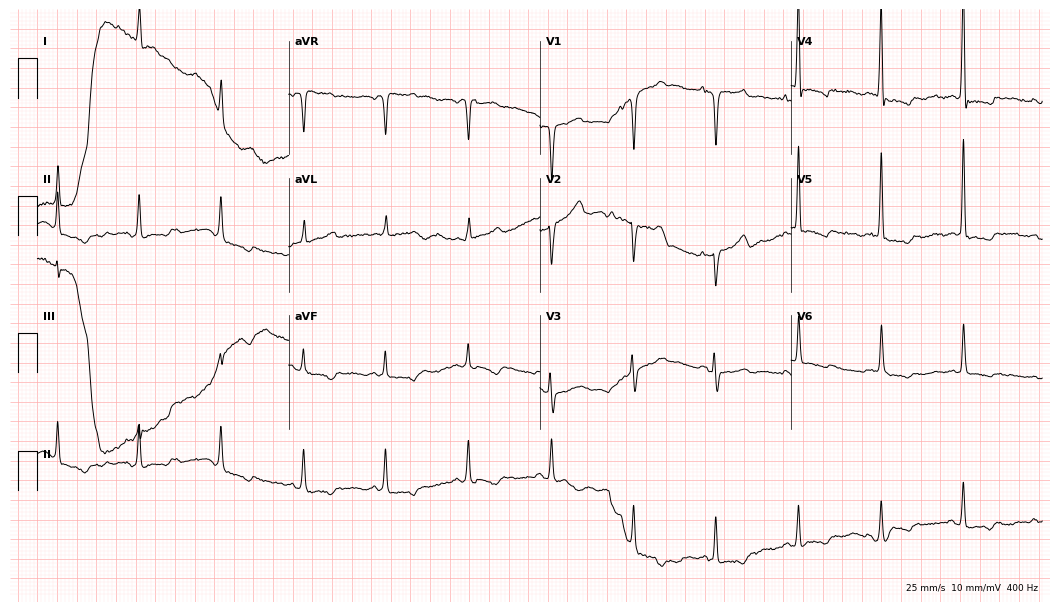
12-lead ECG from a female, 73 years old (10.2-second recording at 400 Hz). No first-degree AV block, right bundle branch block, left bundle branch block, sinus bradycardia, atrial fibrillation or sinus tachycardia recorded for this tracing. Other findings, if any, are not listed.